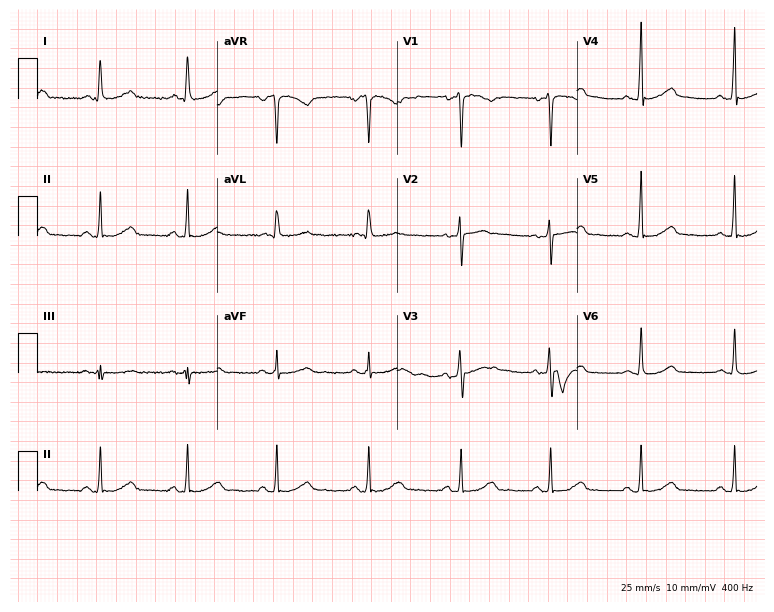
Standard 12-lead ECG recorded from a 44-year-old female patient (7.3-second recording at 400 Hz). None of these six findings is recorded: first-degree AV block, right bundle branch block (RBBB), left bundle branch block (LBBB), sinus bradycardia, atrial fibrillation (AF), sinus tachycardia.